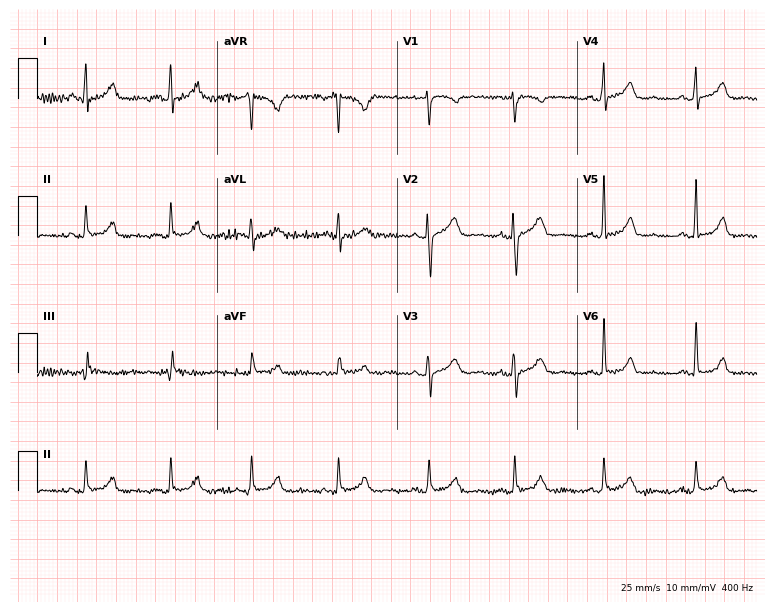
Electrocardiogram (7.3-second recording at 400 Hz), a woman, 29 years old. Of the six screened findings (first-degree AV block, right bundle branch block, left bundle branch block, sinus bradycardia, atrial fibrillation, sinus tachycardia), none is recorded. Other findings, if any, are not listed.